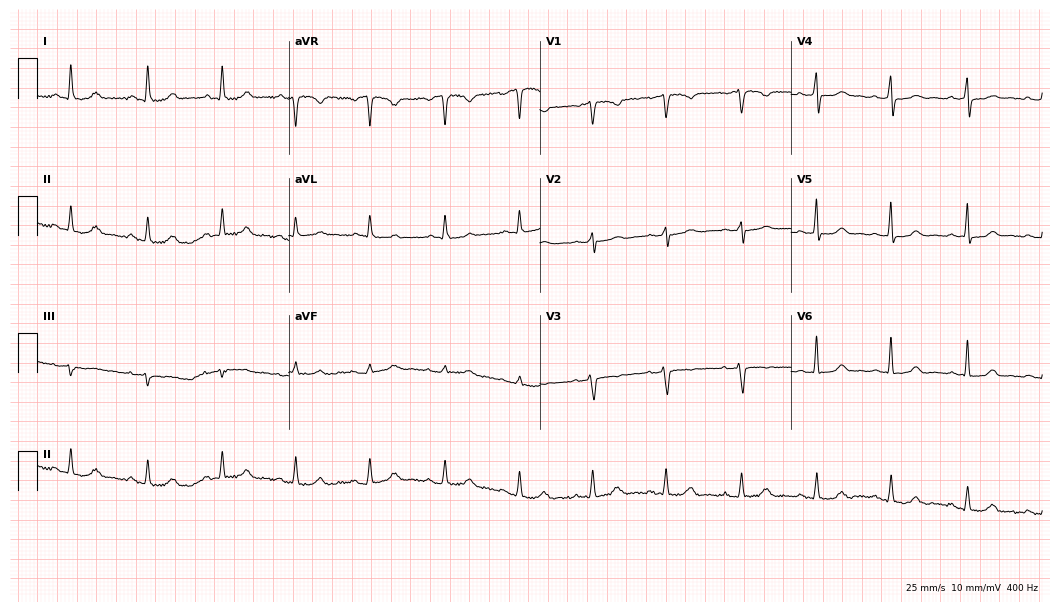
12-lead ECG from a woman, 49 years old (10.2-second recording at 400 Hz). Recorded interpretation: within normal limits.